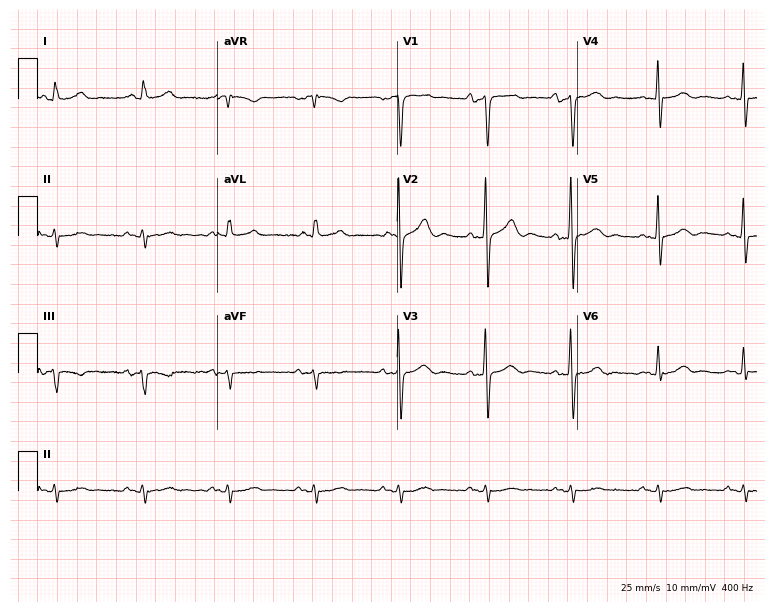
Electrocardiogram, a male patient, 79 years old. Overall reading on record: normal ECG.